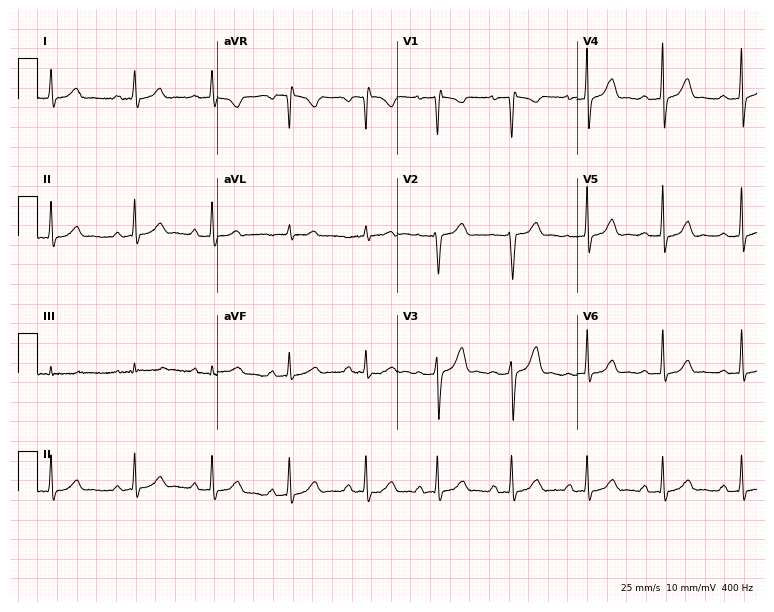
Standard 12-lead ECG recorded from a 21-year-old female patient (7.3-second recording at 400 Hz). Read as a normal ECG.